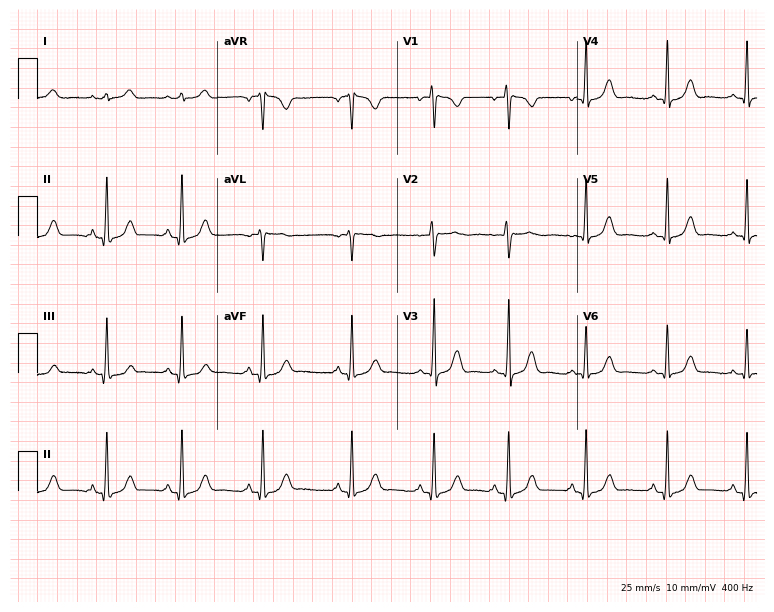
Resting 12-lead electrocardiogram. Patient: a 26-year-old woman. None of these six findings is recorded: first-degree AV block, right bundle branch block (RBBB), left bundle branch block (LBBB), sinus bradycardia, atrial fibrillation (AF), sinus tachycardia. Only these six findings were labelled.